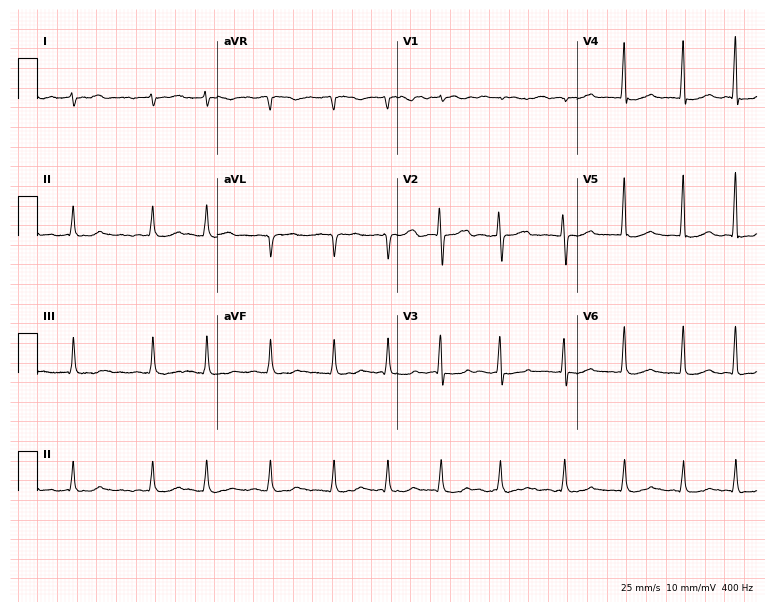
Standard 12-lead ECG recorded from a 42-year-old woman (7.3-second recording at 400 Hz). The tracing shows atrial fibrillation (AF).